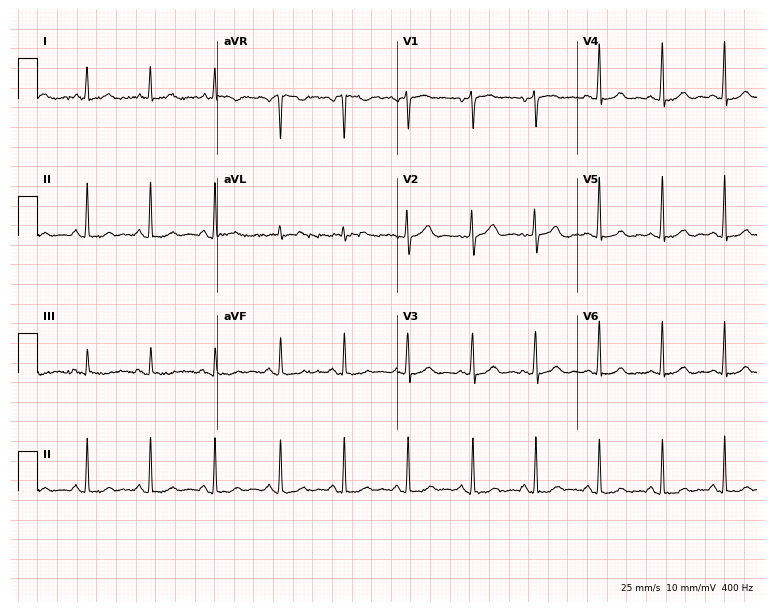
12-lead ECG from a 46-year-old female (7.3-second recording at 400 Hz). No first-degree AV block, right bundle branch block, left bundle branch block, sinus bradycardia, atrial fibrillation or sinus tachycardia recorded for this tracing. Only these six findings were labelled.